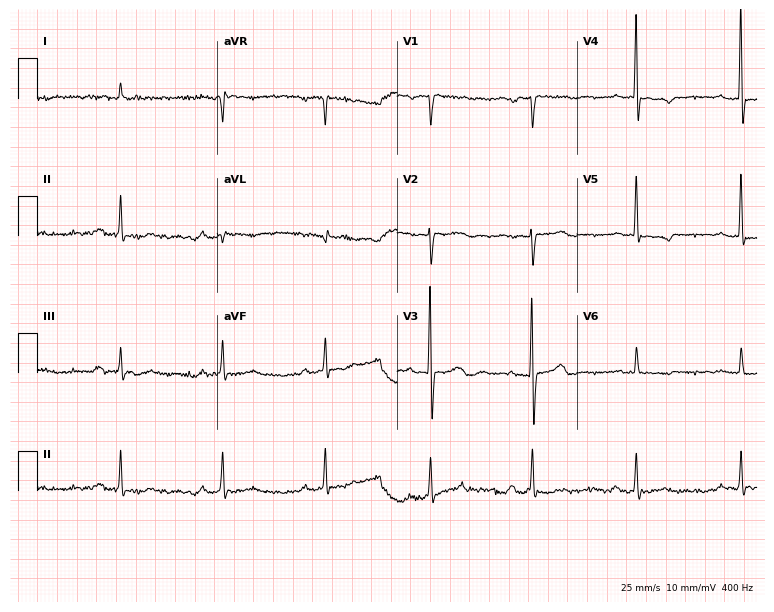
Electrocardiogram (7.3-second recording at 400 Hz), an 83-year-old male patient. Of the six screened findings (first-degree AV block, right bundle branch block, left bundle branch block, sinus bradycardia, atrial fibrillation, sinus tachycardia), none is recorded.